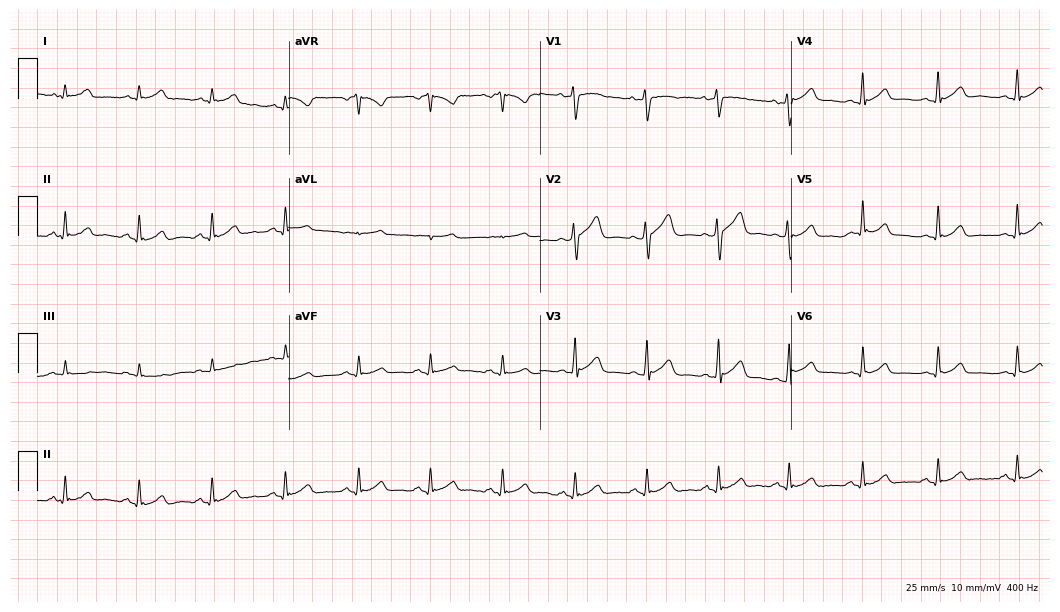
Resting 12-lead electrocardiogram (10.2-second recording at 400 Hz). Patient: a 34-year-old male. Read as a normal ECG.